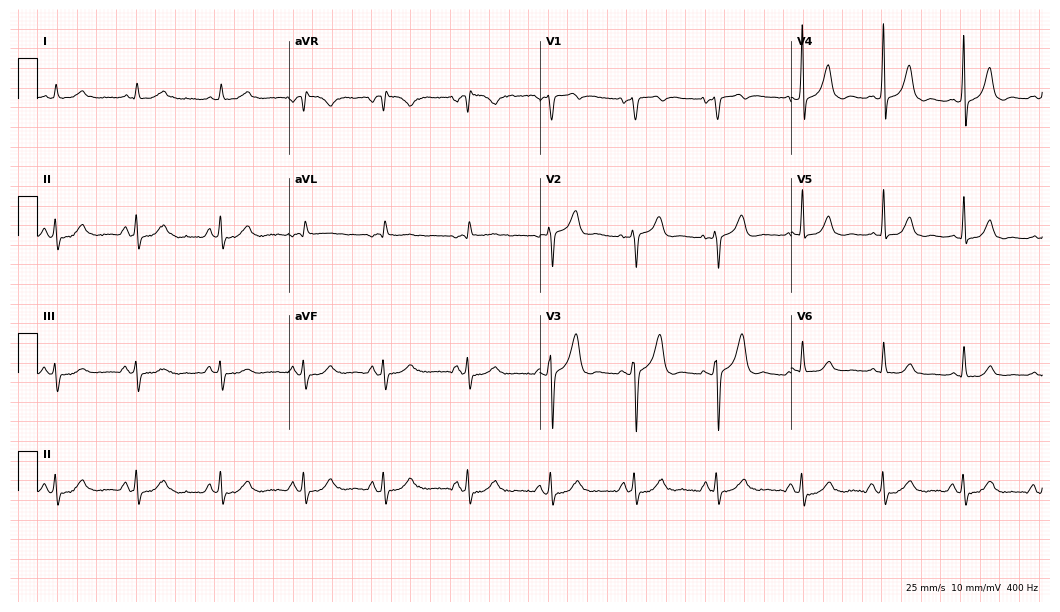
Resting 12-lead electrocardiogram (10.2-second recording at 400 Hz). Patient: a 65-year-old male. Read as a normal ECG.